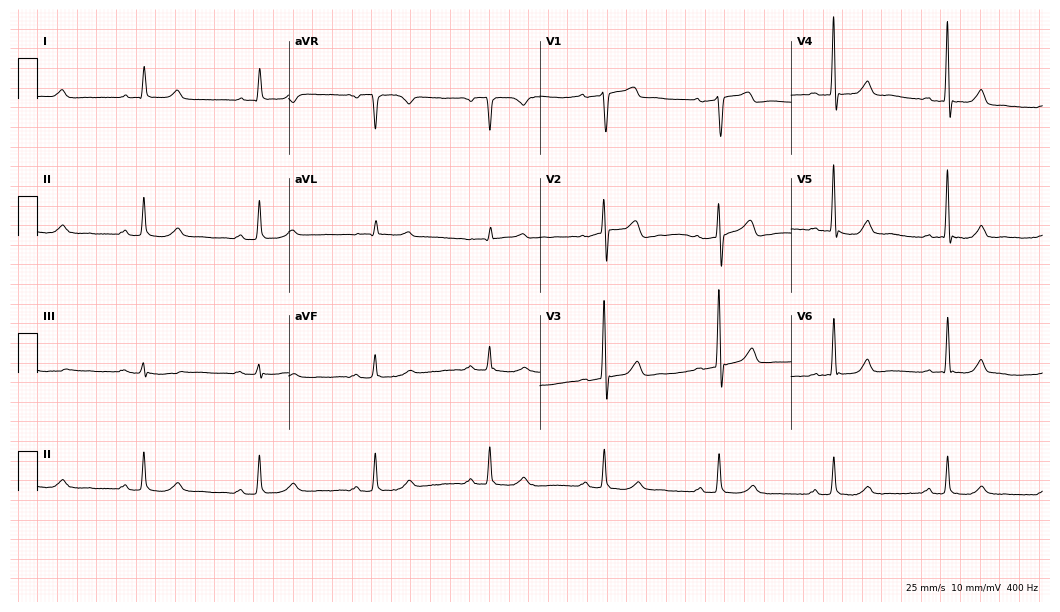
12-lead ECG from a male patient, 72 years old. Recorded interpretation: within normal limits.